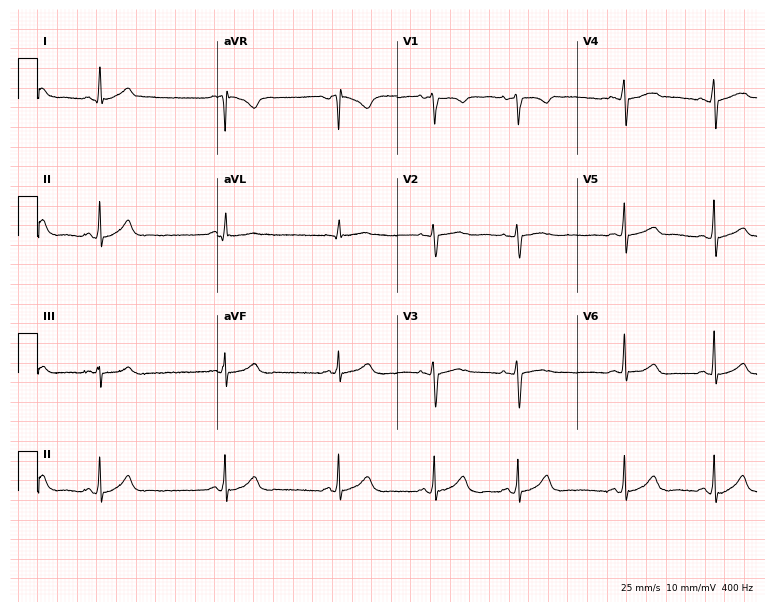
Standard 12-lead ECG recorded from a female patient, 59 years old. Read as a normal ECG.